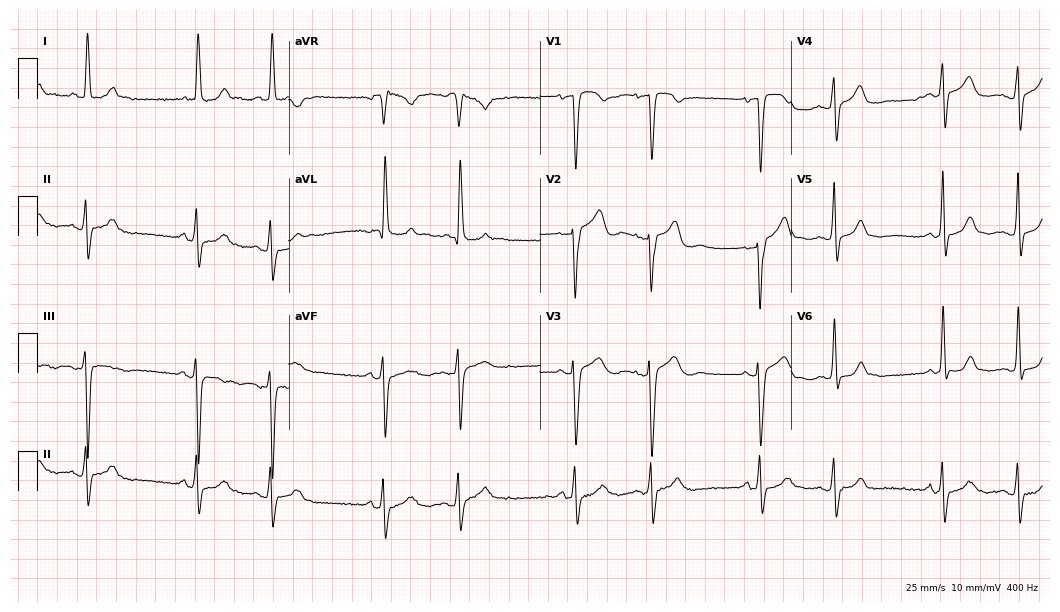
Electrocardiogram, a female patient, 81 years old. Of the six screened findings (first-degree AV block, right bundle branch block, left bundle branch block, sinus bradycardia, atrial fibrillation, sinus tachycardia), none is recorded. Only these six findings were labelled.